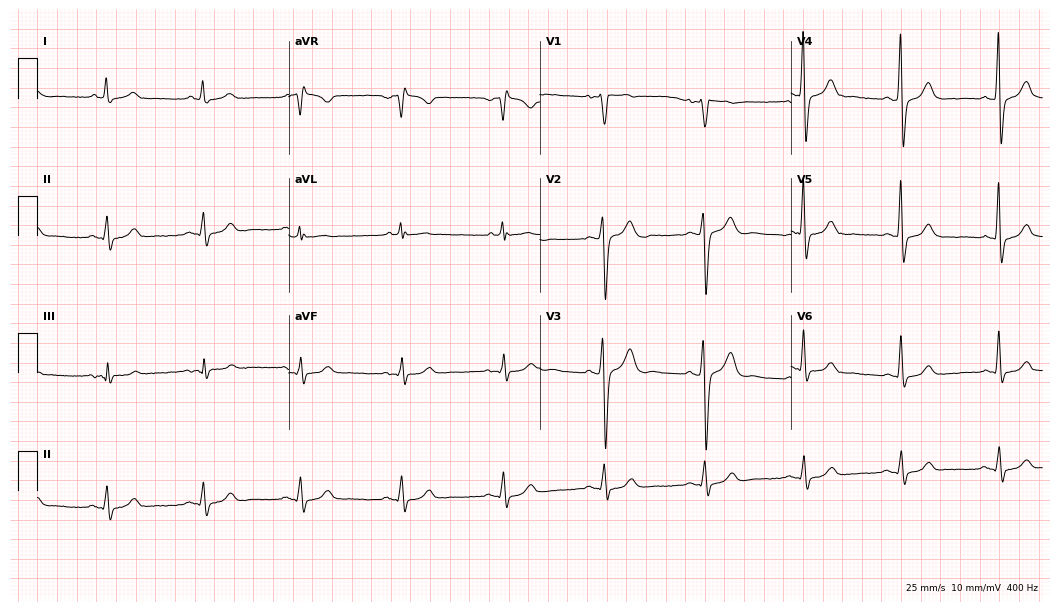
12-lead ECG from a 48-year-old male. Screened for six findings — first-degree AV block, right bundle branch block, left bundle branch block, sinus bradycardia, atrial fibrillation, sinus tachycardia — none is recorded. Other findings, if any, are not listed.